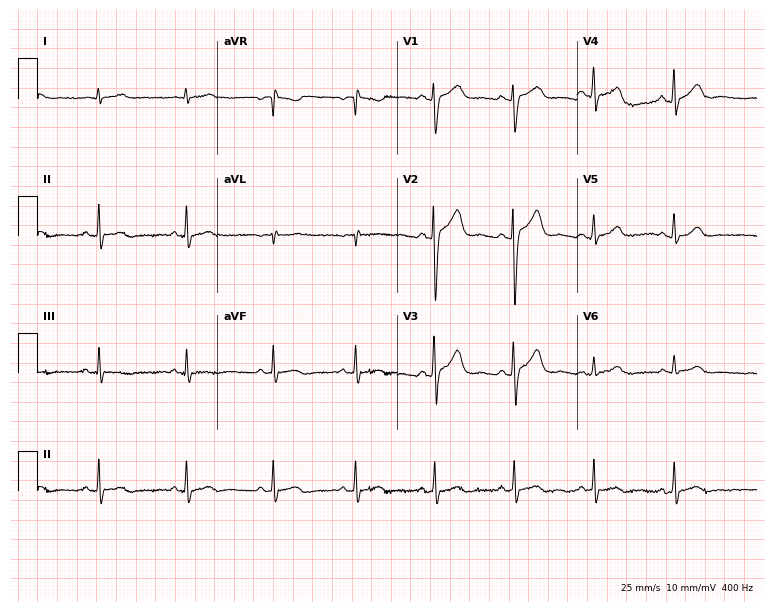
12-lead ECG from a male patient, 22 years old (7.3-second recording at 400 Hz). Recorded interpretation: within normal limits.